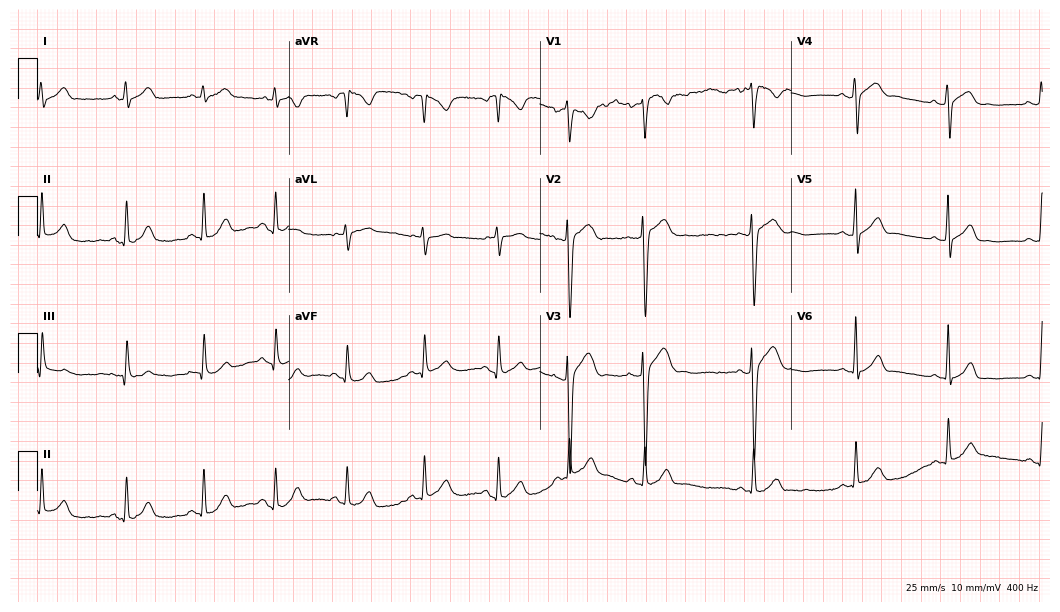
12-lead ECG (10.2-second recording at 400 Hz) from a male, 19 years old. Labelled as a normal ECG.